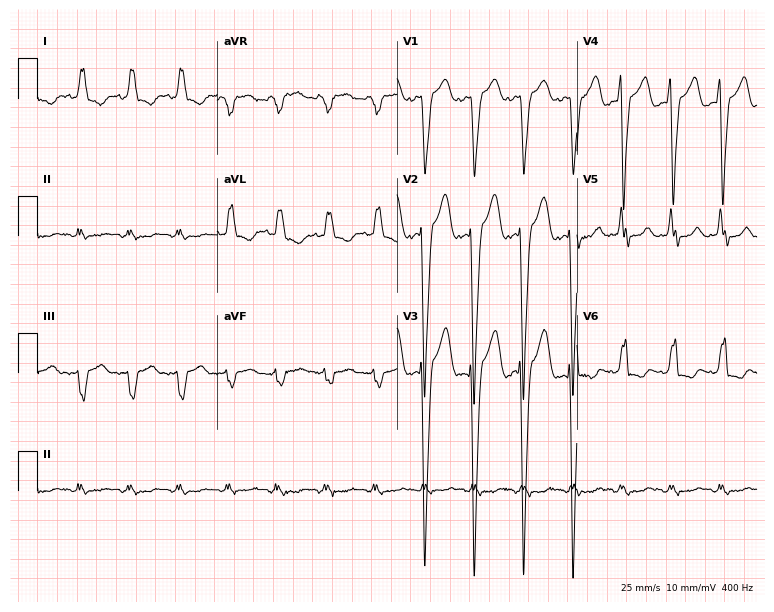
12-lead ECG (7.3-second recording at 400 Hz) from a 73-year-old woman. Findings include left bundle branch block, sinus tachycardia (a sinus rate of 100 beats per minute or more).